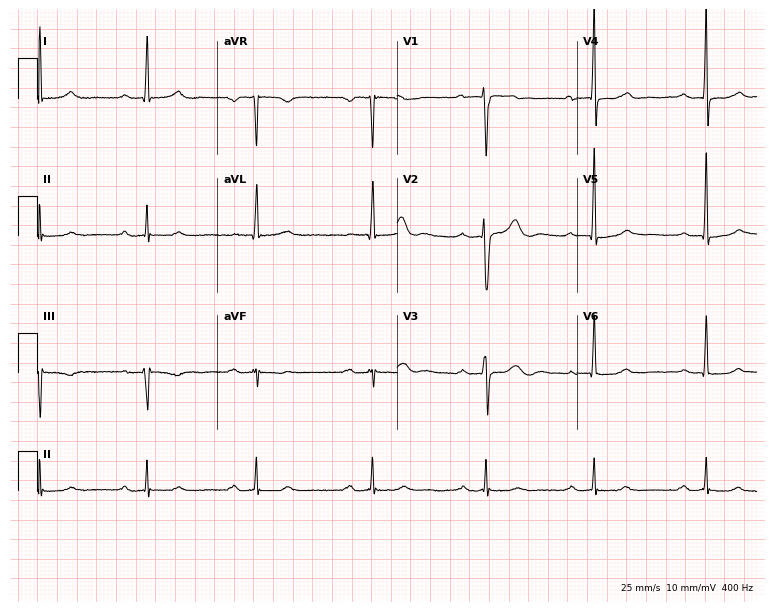
Electrocardiogram, a male, 73 years old. Overall reading on record: normal ECG.